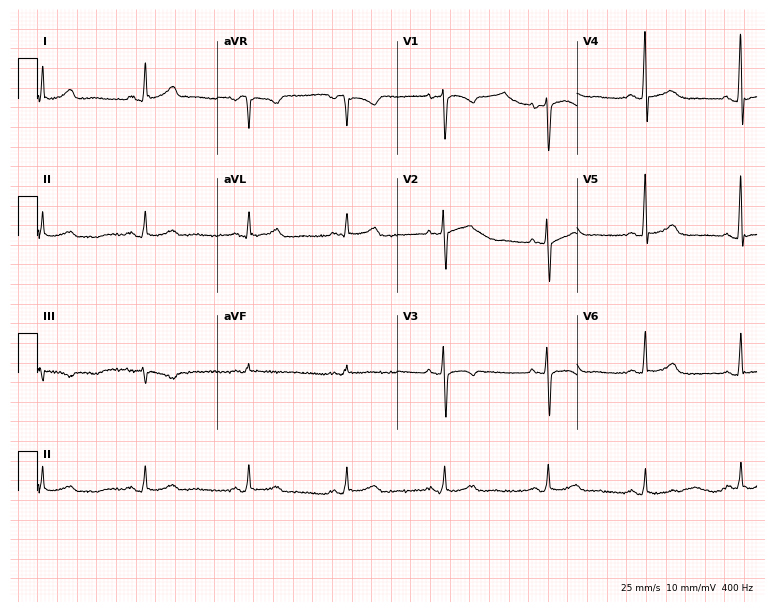
Standard 12-lead ECG recorded from a 48-year-old female. None of these six findings is recorded: first-degree AV block, right bundle branch block, left bundle branch block, sinus bradycardia, atrial fibrillation, sinus tachycardia.